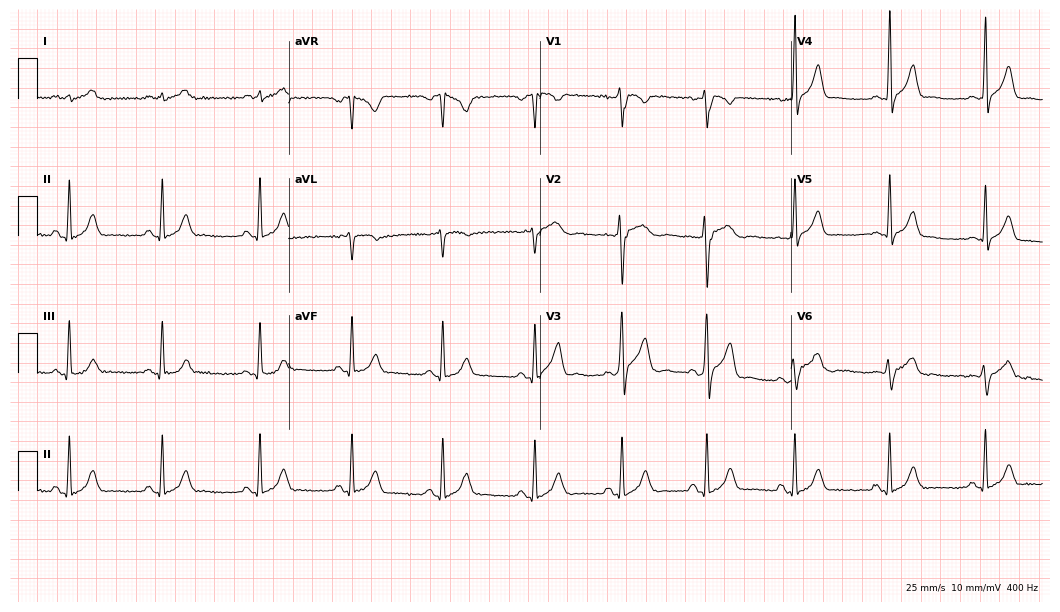
12-lead ECG from a man, 30 years old (10.2-second recording at 400 Hz). Recorded interpretation: within normal limits.